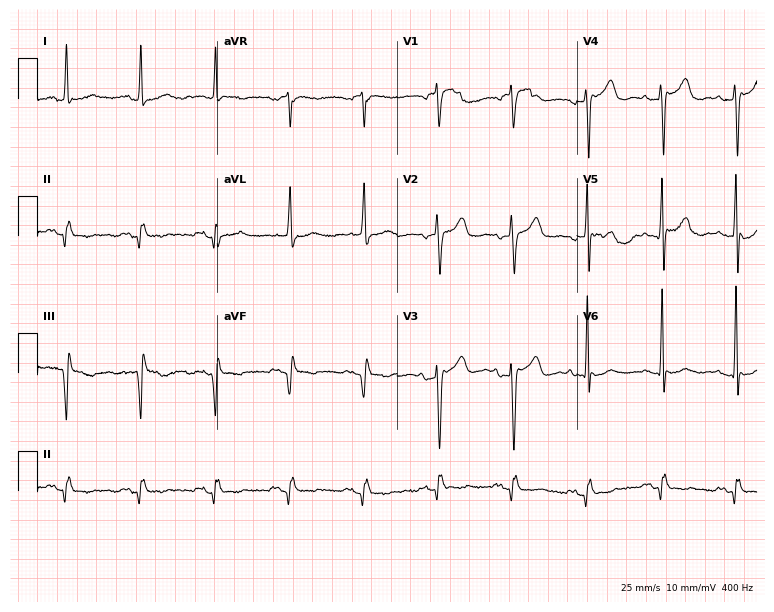
12-lead ECG (7.3-second recording at 400 Hz) from a 77-year-old man. Screened for six findings — first-degree AV block, right bundle branch block (RBBB), left bundle branch block (LBBB), sinus bradycardia, atrial fibrillation (AF), sinus tachycardia — none is recorded. Other findings, if any, are not listed.